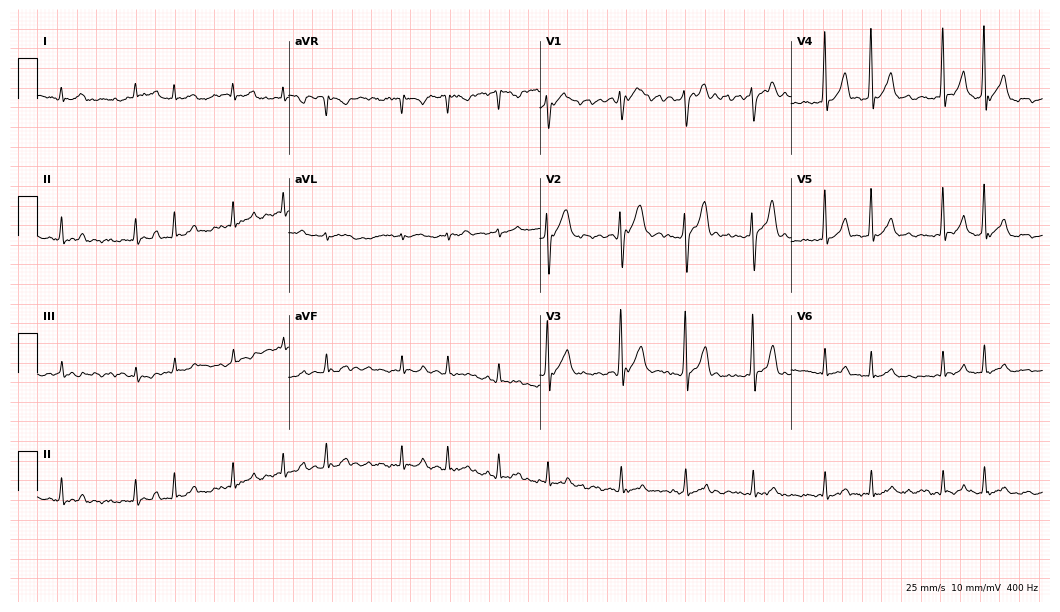
12-lead ECG (10.2-second recording at 400 Hz) from a 63-year-old male. Findings include atrial fibrillation.